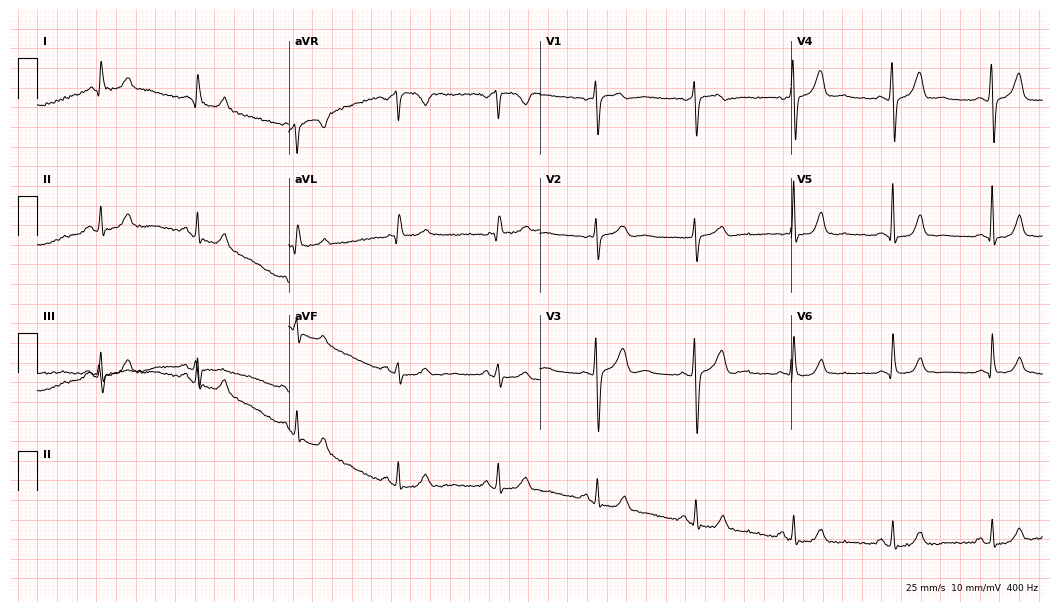
ECG — a woman, 51 years old. Labelled as a normal ECG.